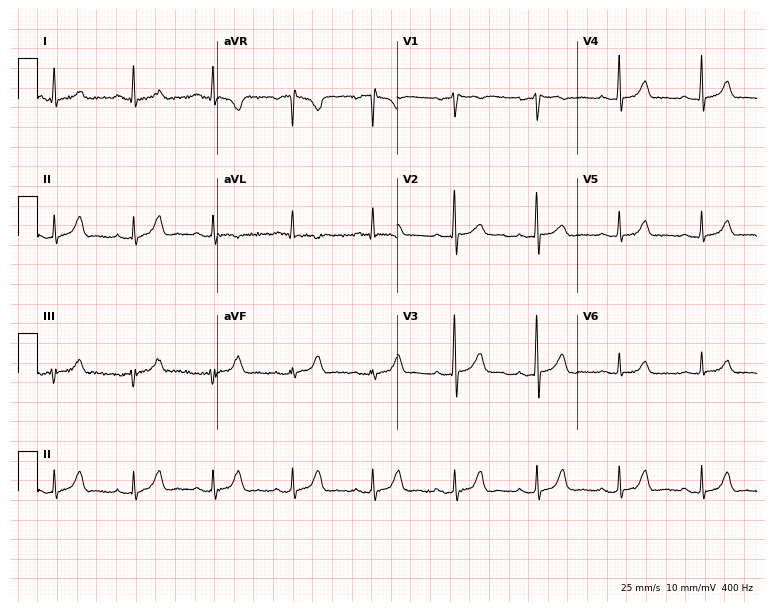
Standard 12-lead ECG recorded from a female, 70 years old (7.3-second recording at 400 Hz). Read as a normal ECG.